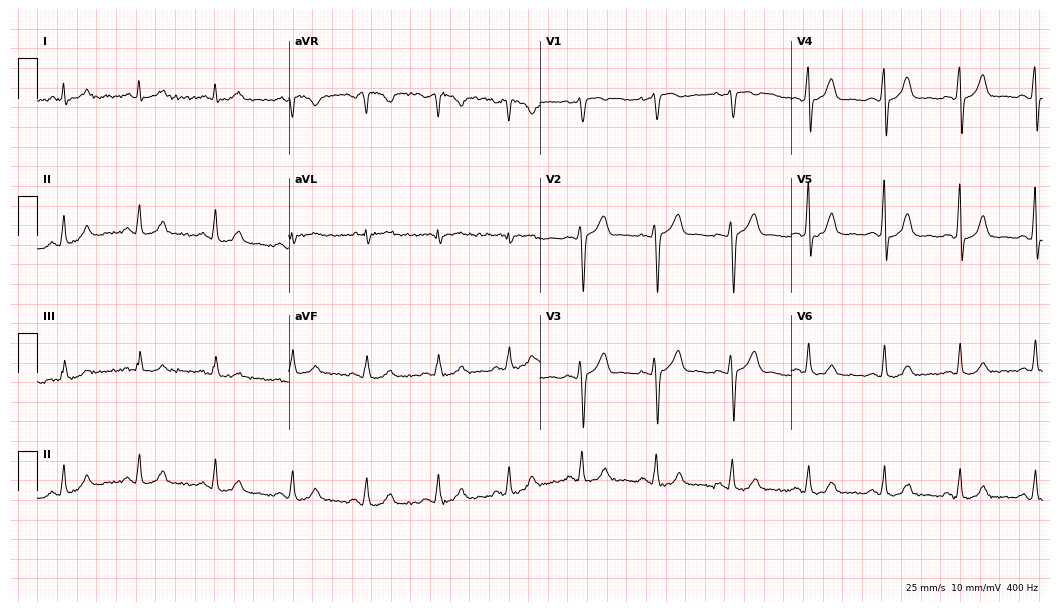
Standard 12-lead ECG recorded from a 46-year-old male (10.2-second recording at 400 Hz). Read as a normal ECG.